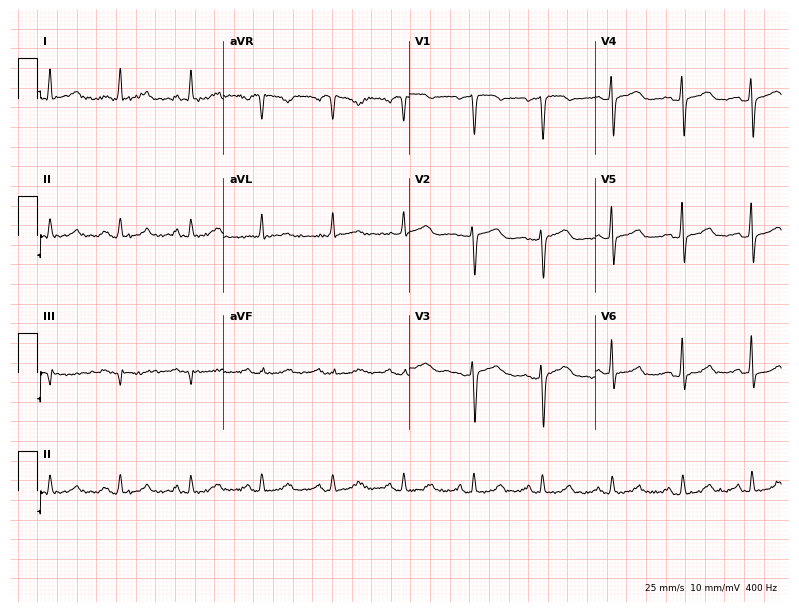
ECG — a 73-year-old female patient. Labelled as a normal ECG.